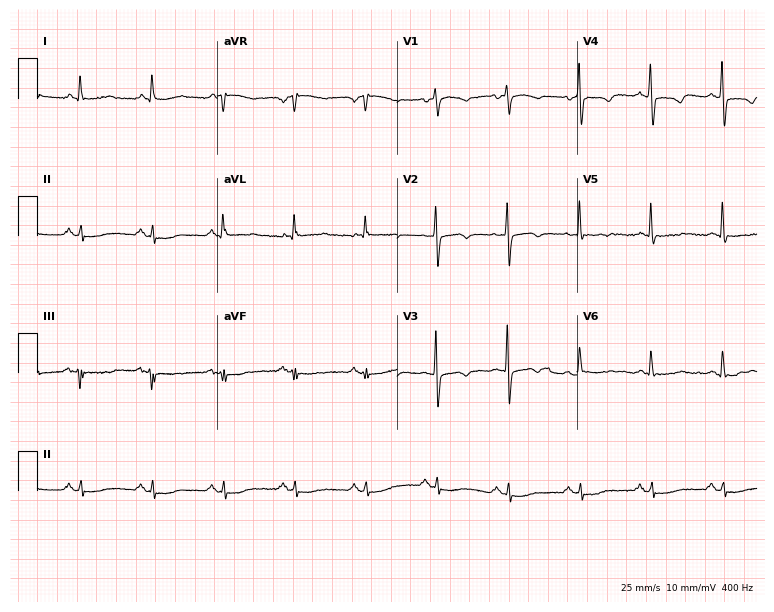
Standard 12-lead ECG recorded from a 61-year-old woman. None of these six findings is recorded: first-degree AV block, right bundle branch block (RBBB), left bundle branch block (LBBB), sinus bradycardia, atrial fibrillation (AF), sinus tachycardia. Findings outside these six are not listed.